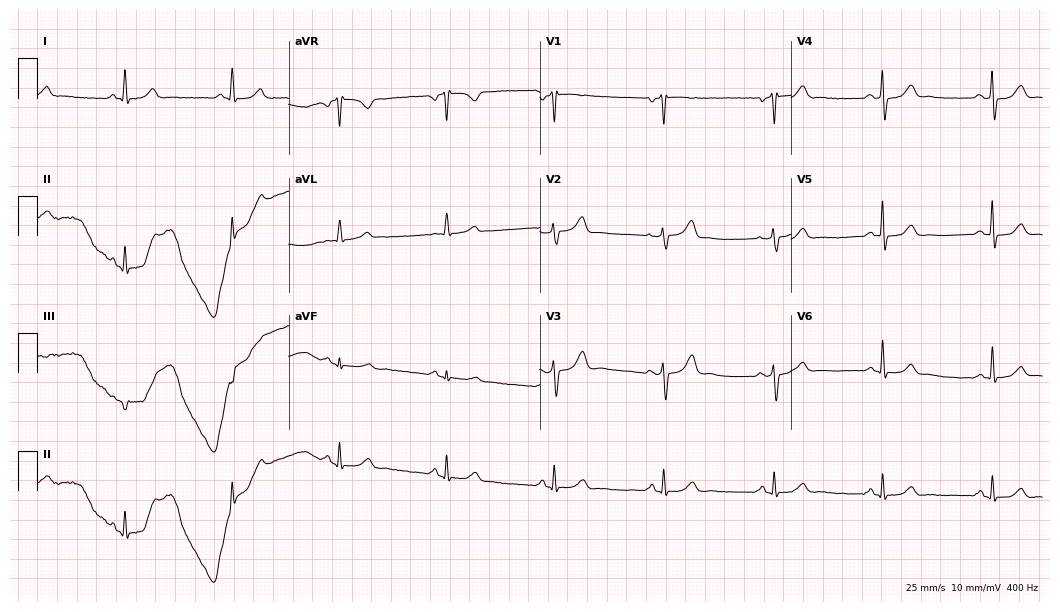
ECG (10.2-second recording at 400 Hz) — a 70-year-old male. Screened for six findings — first-degree AV block, right bundle branch block, left bundle branch block, sinus bradycardia, atrial fibrillation, sinus tachycardia — none is recorded. Findings outside these six are not listed.